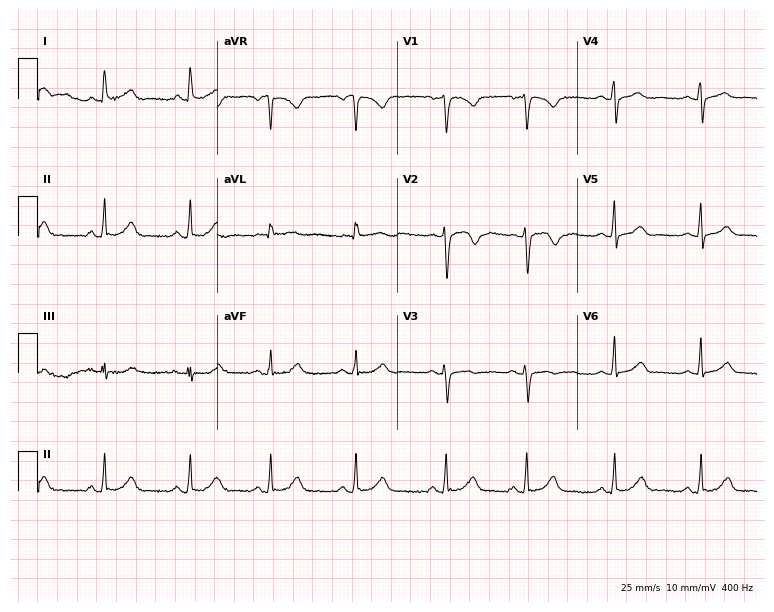
Standard 12-lead ECG recorded from a female patient, 45 years old. None of these six findings is recorded: first-degree AV block, right bundle branch block (RBBB), left bundle branch block (LBBB), sinus bradycardia, atrial fibrillation (AF), sinus tachycardia.